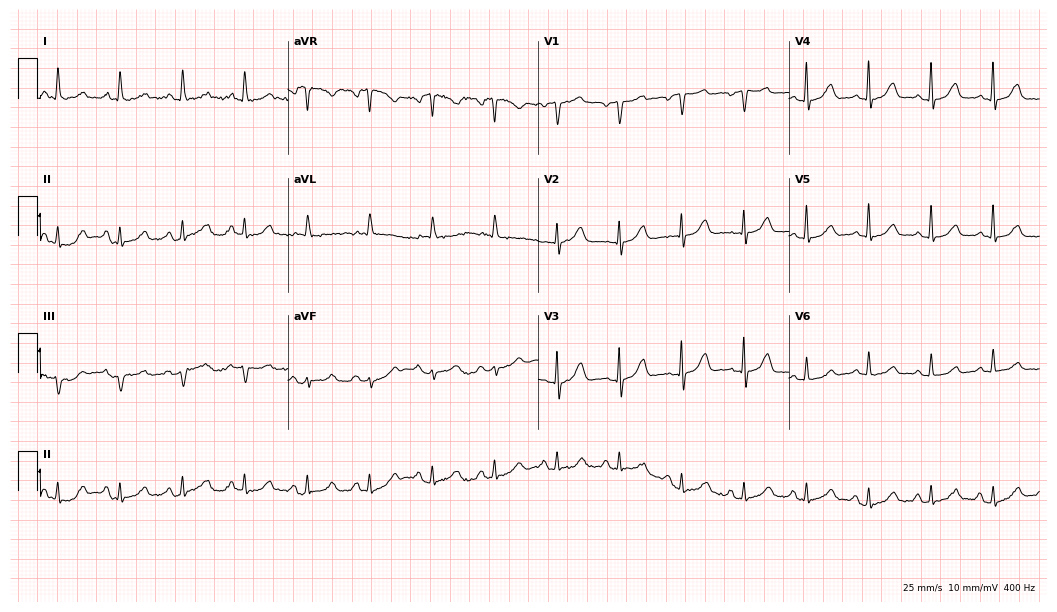
Standard 12-lead ECG recorded from a woman, 79 years old (10.2-second recording at 400 Hz). Read as a normal ECG.